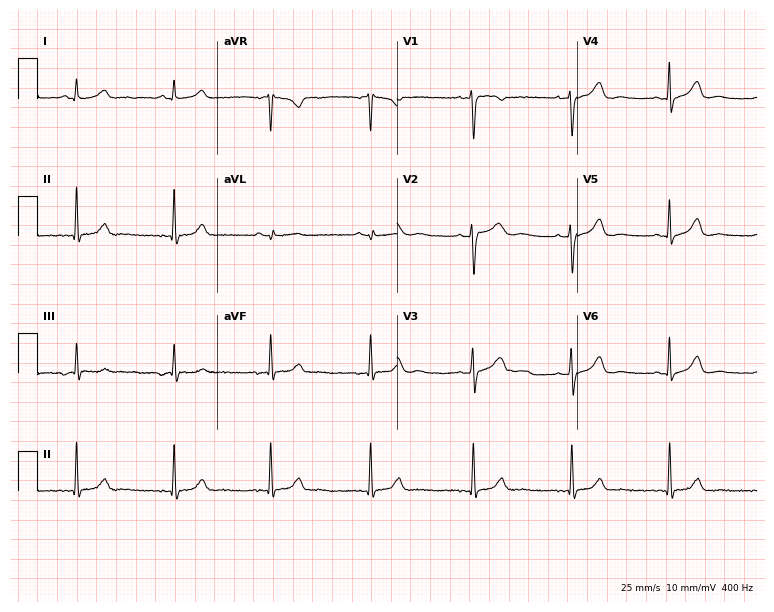
12-lead ECG (7.3-second recording at 400 Hz) from a woman, 29 years old. Screened for six findings — first-degree AV block, right bundle branch block, left bundle branch block, sinus bradycardia, atrial fibrillation, sinus tachycardia — none is recorded. Only these six findings were labelled.